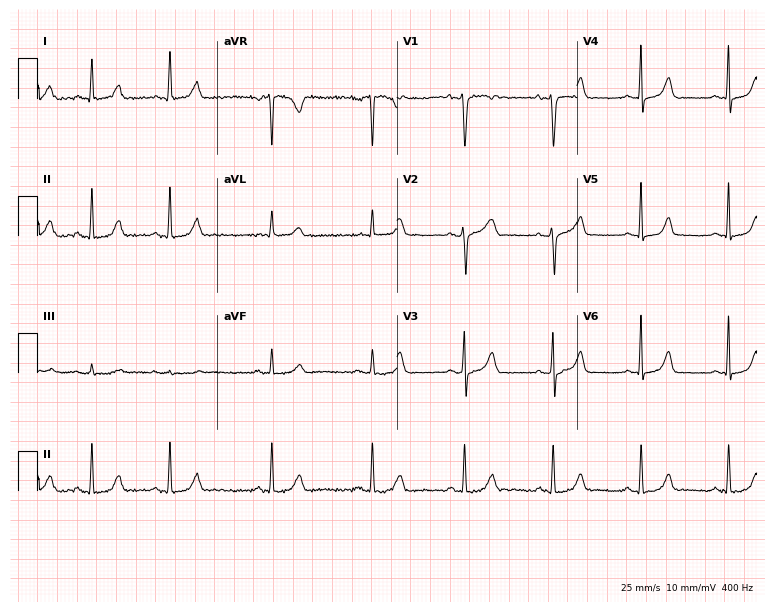
Standard 12-lead ECG recorded from a 29-year-old woman (7.3-second recording at 400 Hz). None of these six findings is recorded: first-degree AV block, right bundle branch block, left bundle branch block, sinus bradycardia, atrial fibrillation, sinus tachycardia.